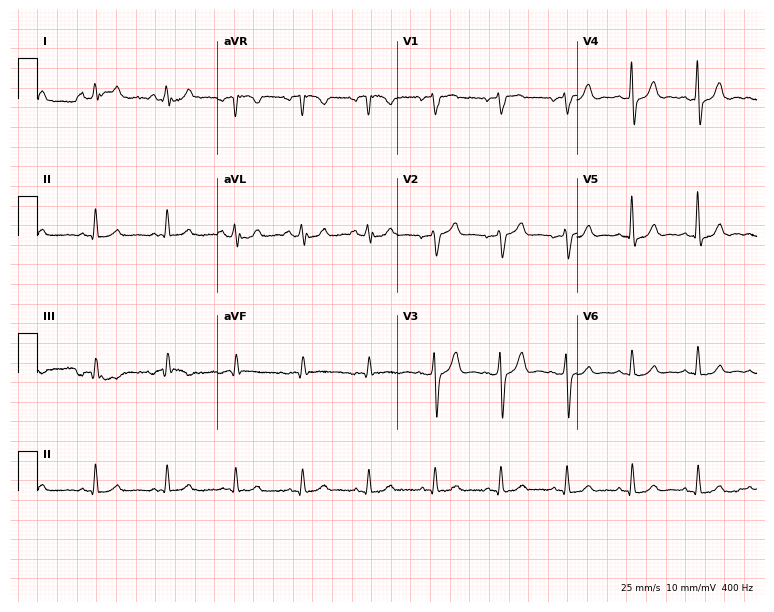
Electrocardiogram, a 74-year-old male patient. Overall reading on record: normal ECG.